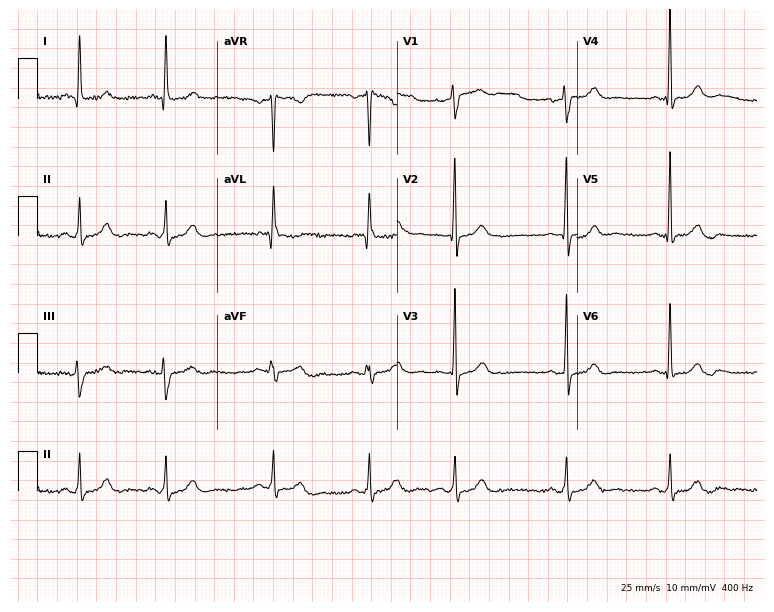
ECG — a male, 61 years old. Labelled as a normal ECG.